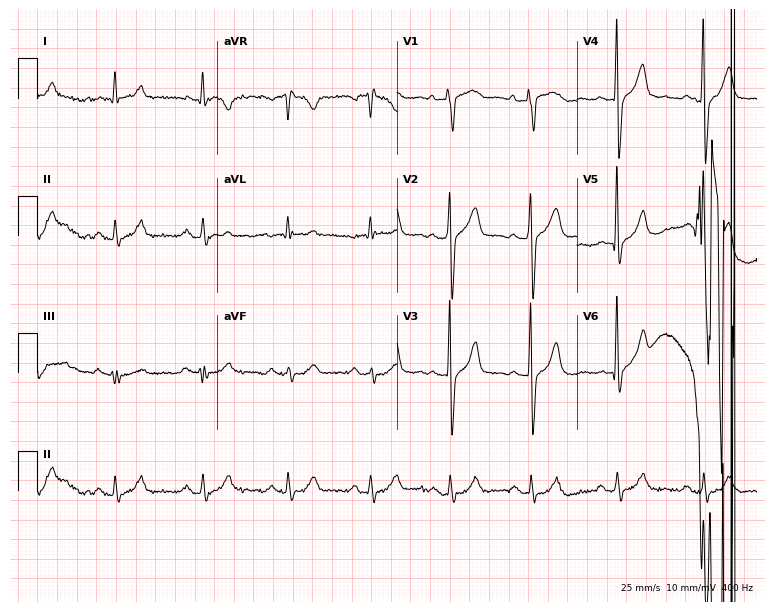
ECG (7.3-second recording at 400 Hz) — a 62-year-old man. Screened for six findings — first-degree AV block, right bundle branch block, left bundle branch block, sinus bradycardia, atrial fibrillation, sinus tachycardia — none is recorded.